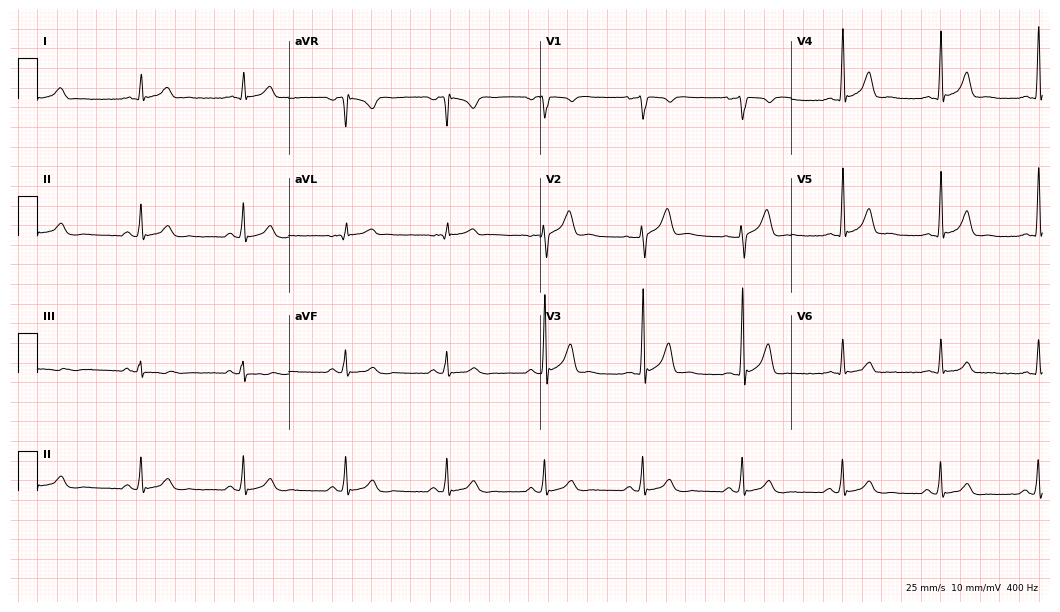
12-lead ECG from a 41-year-old male patient. No first-degree AV block, right bundle branch block, left bundle branch block, sinus bradycardia, atrial fibrillation or sinus tachycardia recorded for this tracing.